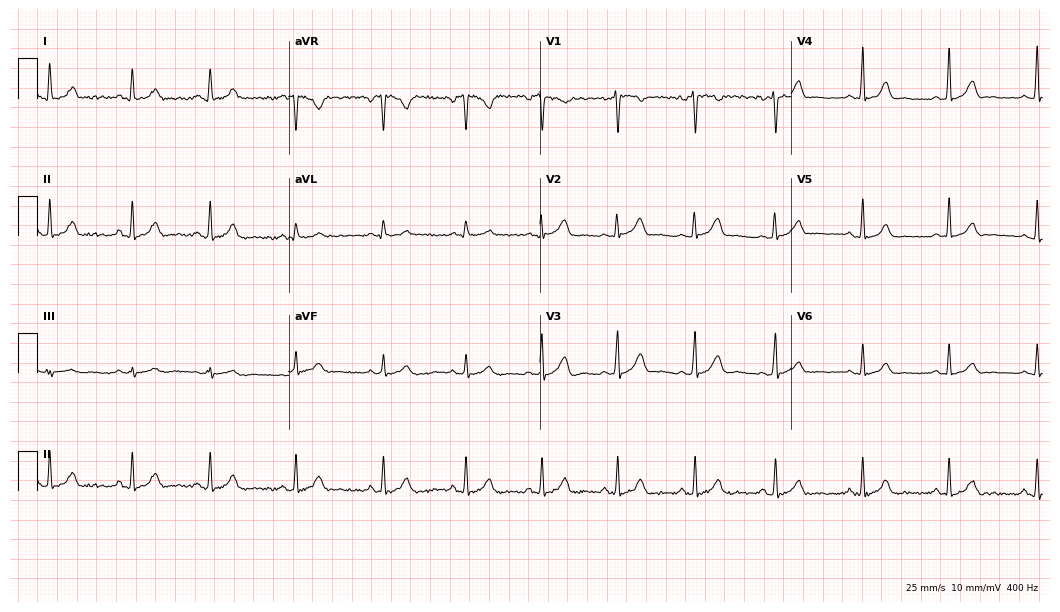
Standard 12-lead ECG recorded from a 29-year-old female patient (10.2-second recording at 400 Hz). Read as a normal ECG.